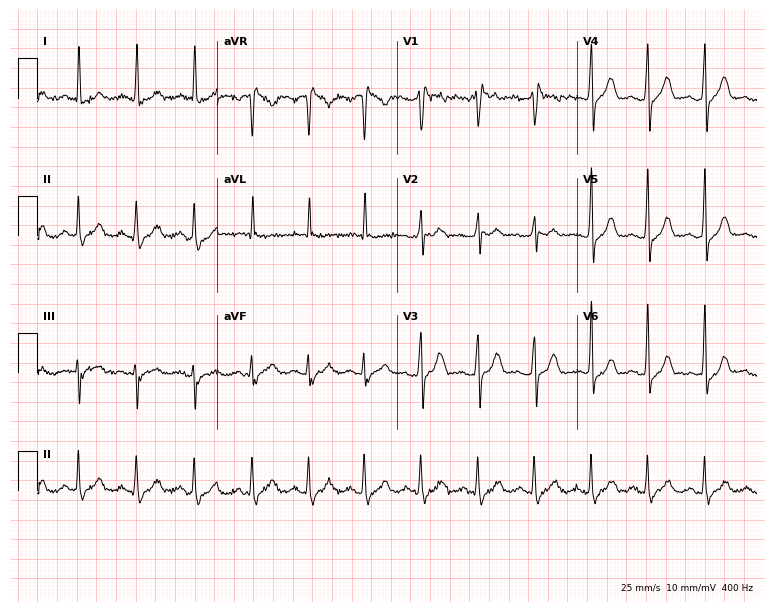
Electrocardiogram (7.3-second recording at 400 Hz), a male patient, 33 years old. Of the six screened findings (first-degree AV block, right bundle branch block (RBBB), left bundle branch block (LBBB), sinus bradycardia, atrial fibrillation (AF), sinus tachycardia), none is recorded. Findings outside these six are not listed.